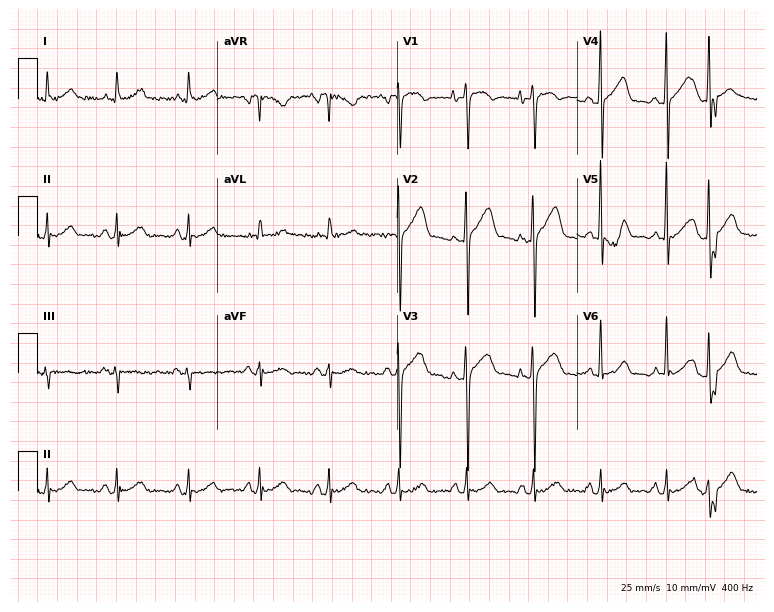
12-lead ECG (7.3-second recording at 400 Hz) from a 77-year-old male patient. Labelled as a normal ECG.